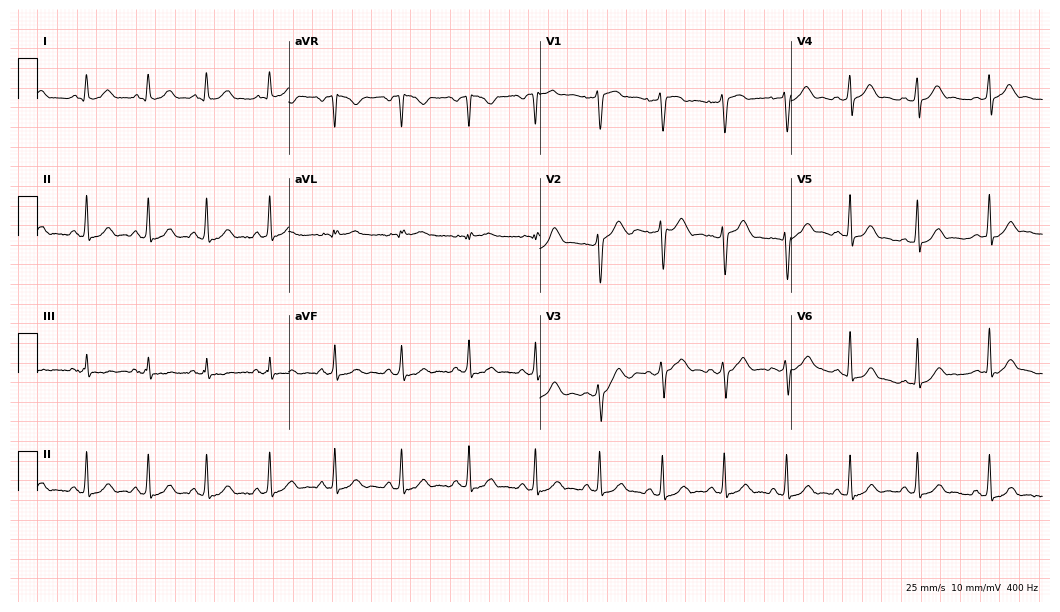
12-lead ECG (10.2-second recording at 400 Hz) from a female, 39 years old. Labelled as a normal ECG.